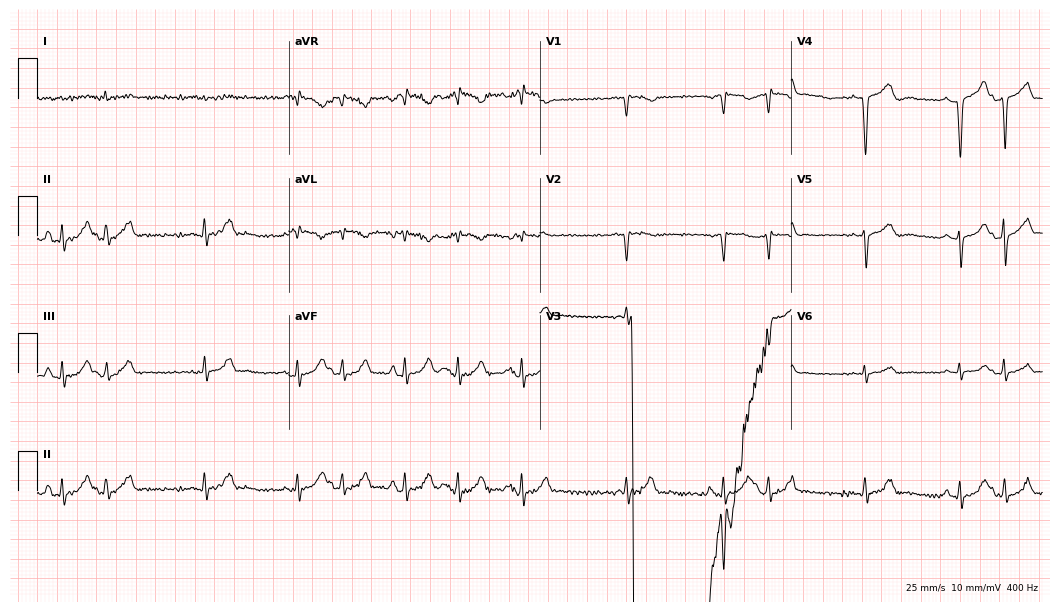
Electrocardiogram, a 77-year-old male. Of the six screened findings (first-degree AV block, right bundle branch block (RBBB), left bundle branch block (LBBB), sinus bradycardia, atrial fibrillation (AF), sinus tachycardia), none is recorded.